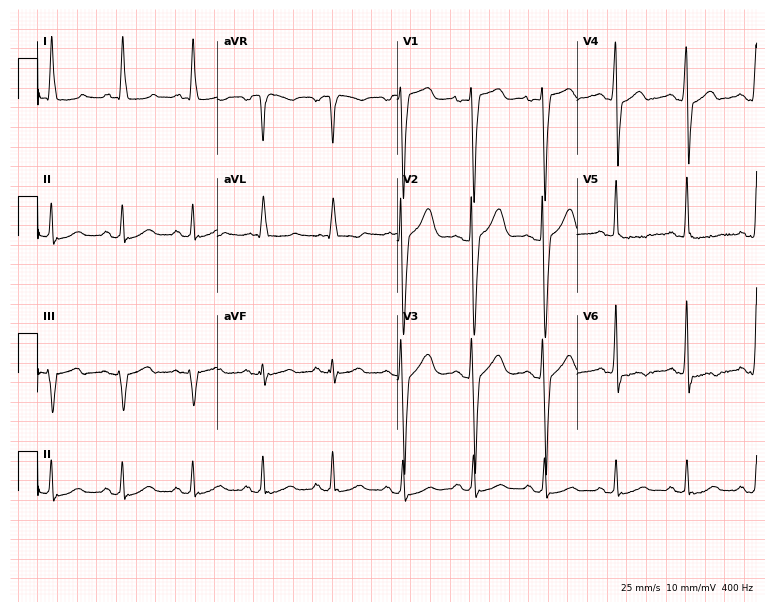
12-lead ECG from a 55-year-old male patient. Screened for six findings — first-degree AV block, right bundle branch block, left bundle branch block, sinus bradycardia, atrial fibrillation, sinus tachycardia — none is recorded.